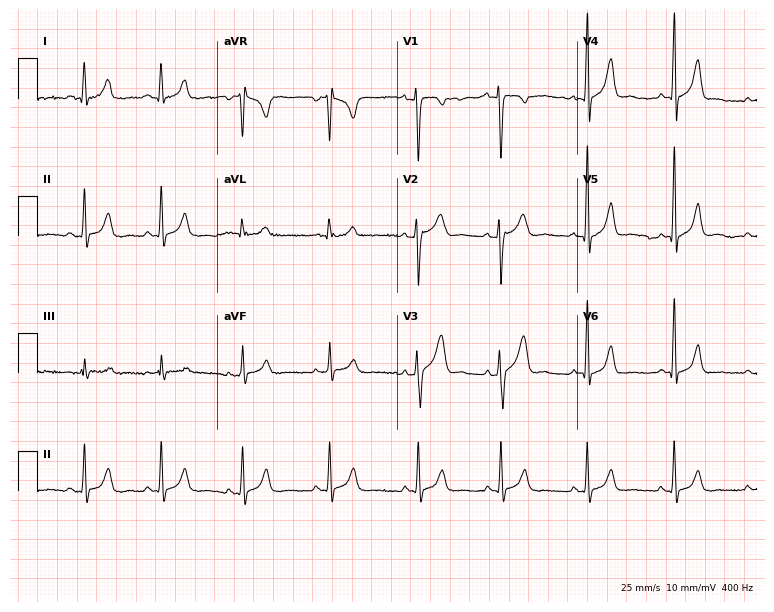
12-lead ECG from a male patient, 26 years old (7.3-second recording at 400 Hz). Recorded interpretation: within normal limits.